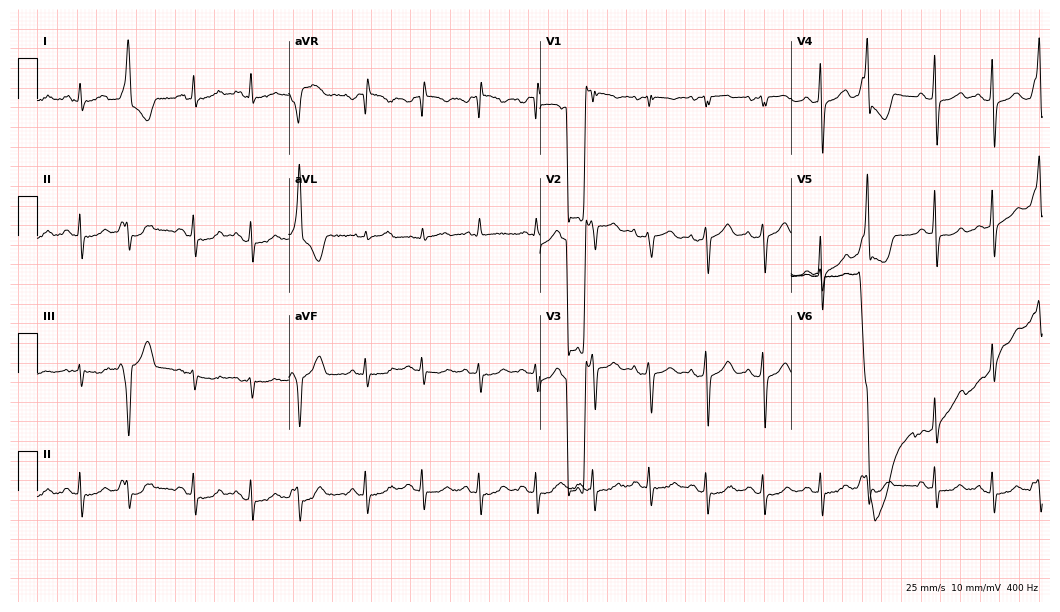
Standard 12-lead ECG recorded from a 69-year-old male. None of these six findings is recorded: first-degree AV block, right bundle branch block, left bundle branch block, sinus bradycardia, atrial fibrillation, sinus tachycardia. Findings outside these six are not listed.